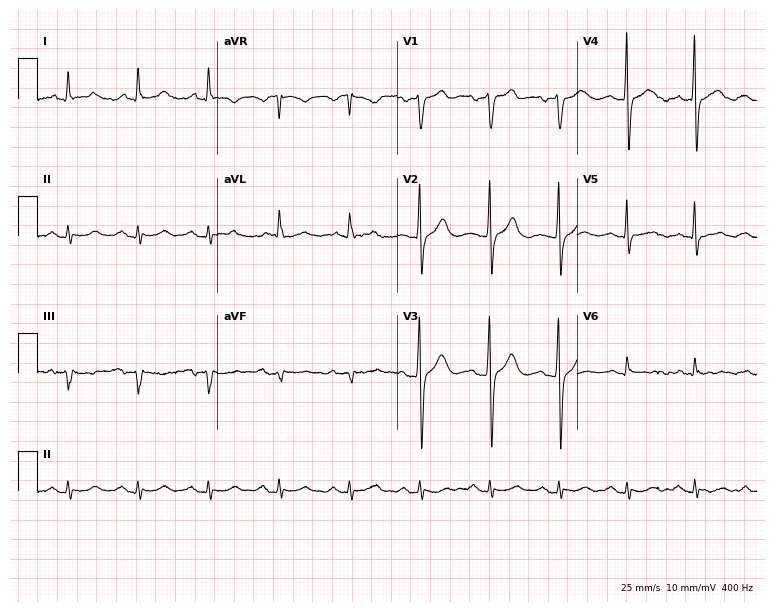
Standard 12-lead ECG recorded from a 68-year-old male patient. Read as a normal ECG.